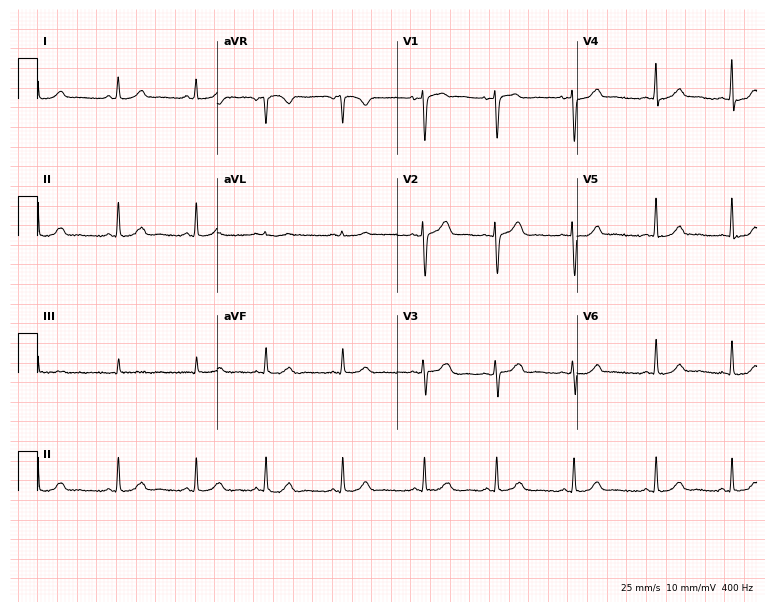
Resting 12-lead electrocardiogram (7.3-second recording at 400 Hz). Patient: a 43-year-old woman. Read as a normal ECG.